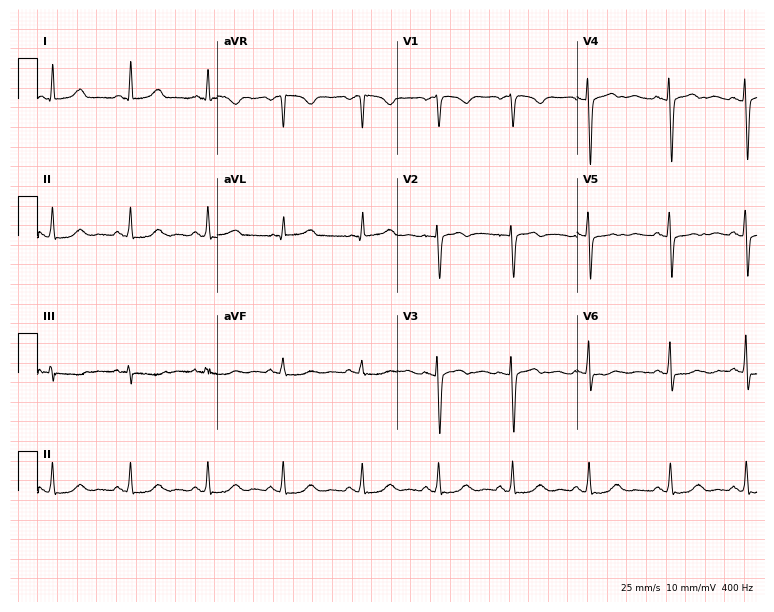
ECG — a woman, 36 years old. Screened for six findings — first-degree AV block, right bundle branch block, left bundle branch block, sinus bradycardia, atrial fibrillation, sinus tachycardia — none is recorded.